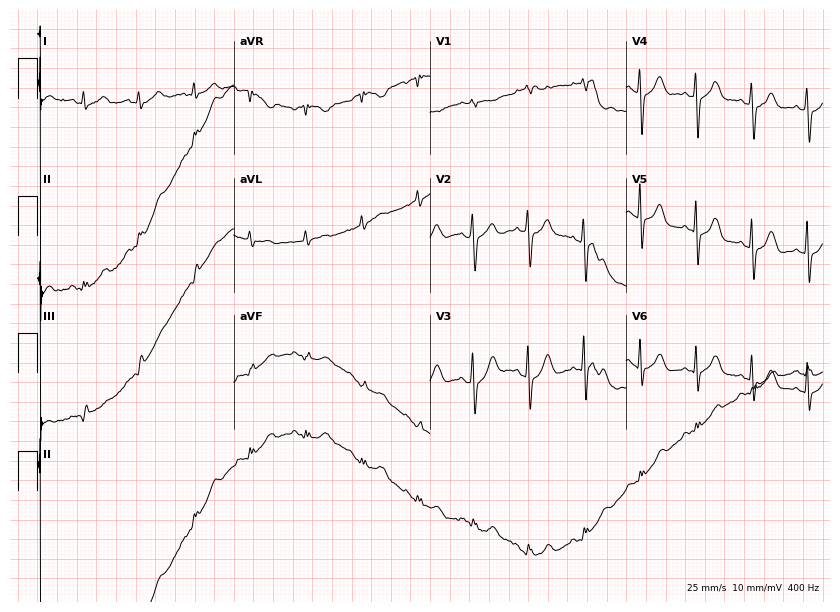
12-lead ECG from a female patient, 82 years old. No first-degree AV block, right bundle branch block, left bundle branch block, sinus bradycardia, atrial fibrillation or sinus tachycardia recorded for this tracing. Only these six findings were labelled.